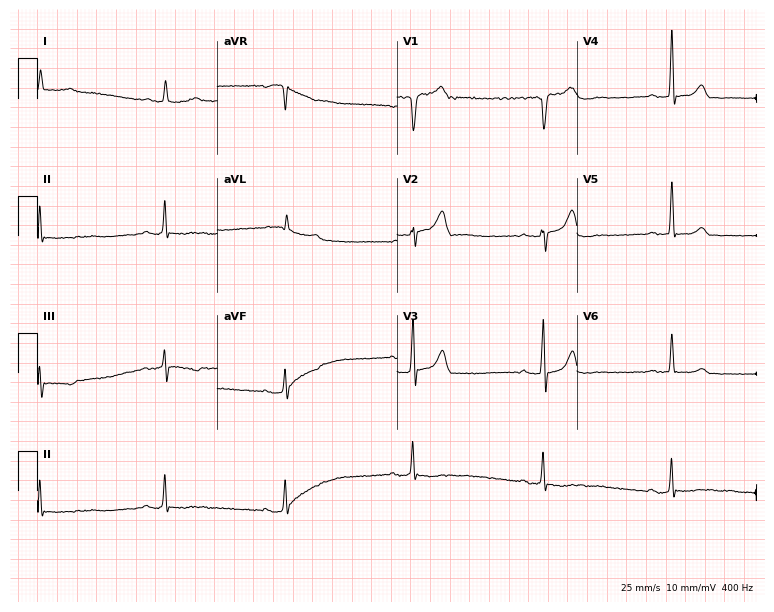
12-lead ECG from a man, 73 years old (7.3-second recording at 400 Hz). No first-degree AV block, right bundle branch block, left bundle branch block, sinus bradycardia, atrial fibrillation or sinus tachycardia recorded for this tracing.